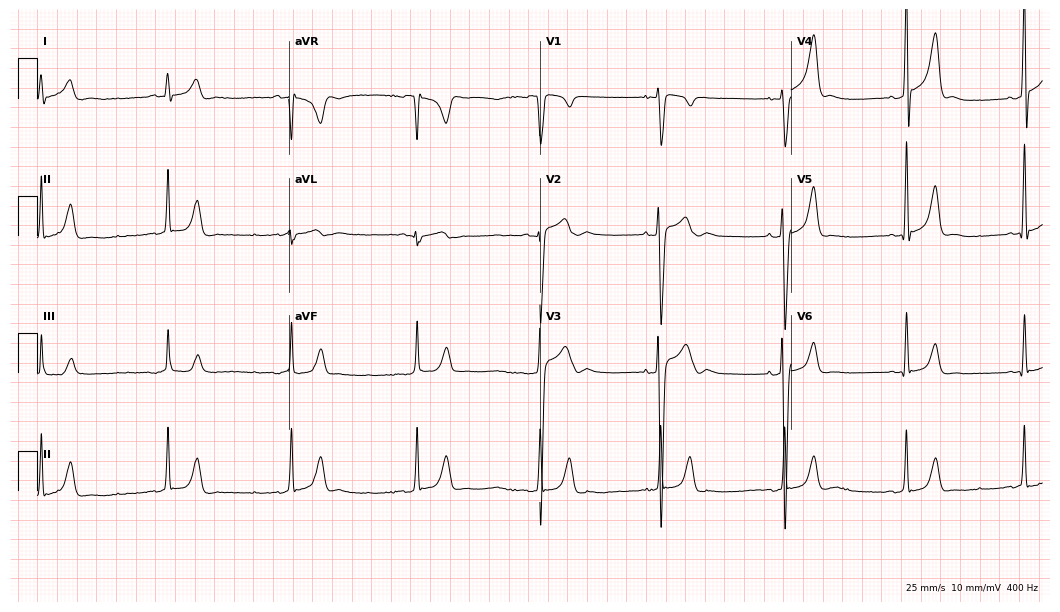
Electrocardiogram (10.2-second recording at 400 Hz), a 20-year-old male. Overall reading on record: normal ECG.